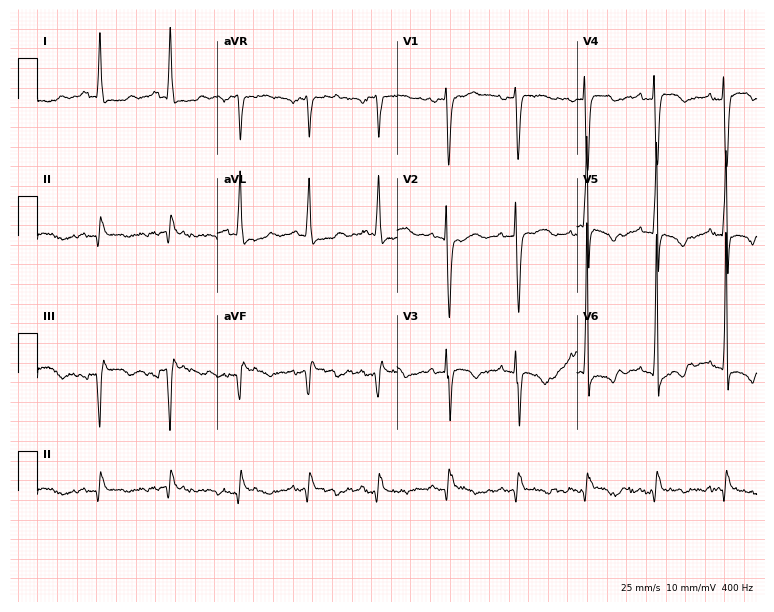
12-lead ECG from a 56-year-old male (7.3-second recording at 400 Hz). No first-degree AV block, right bundle branch block (RBBB), left bundle branch block (LBBB), sinus bradycardia, atrial fibrillation (AF) or sinus tachycardia recorded for this tracing. Only these six findings were labelled.